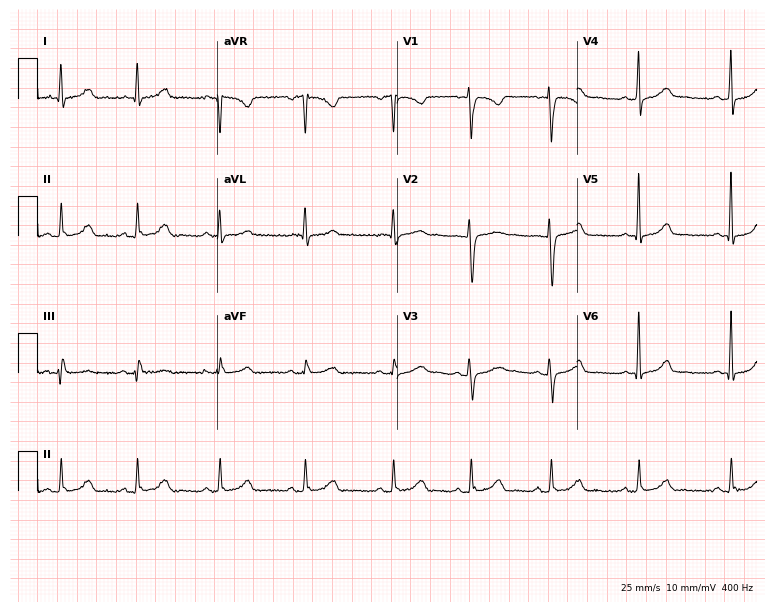
ECG (7.3-second recording at 400 Hz) — a woman, 26 years old. Labelled as a normal ECG.